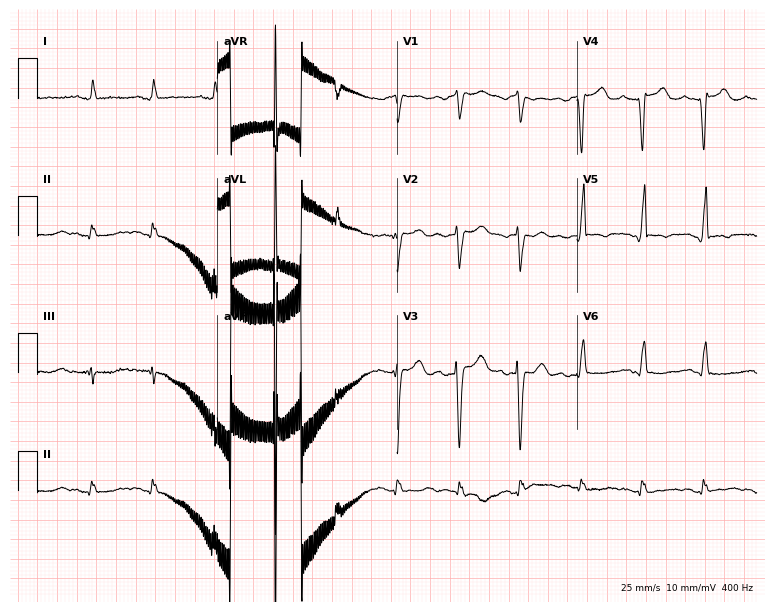
Resting 12-lead electrocardiogram. Patient: a male, 70 years old. None of these six findings is recorded: first-degree AV block, right bundle branch block, left bundle branch block, sinus bradycardia, atrial fibrillation, sinus tachycardia.